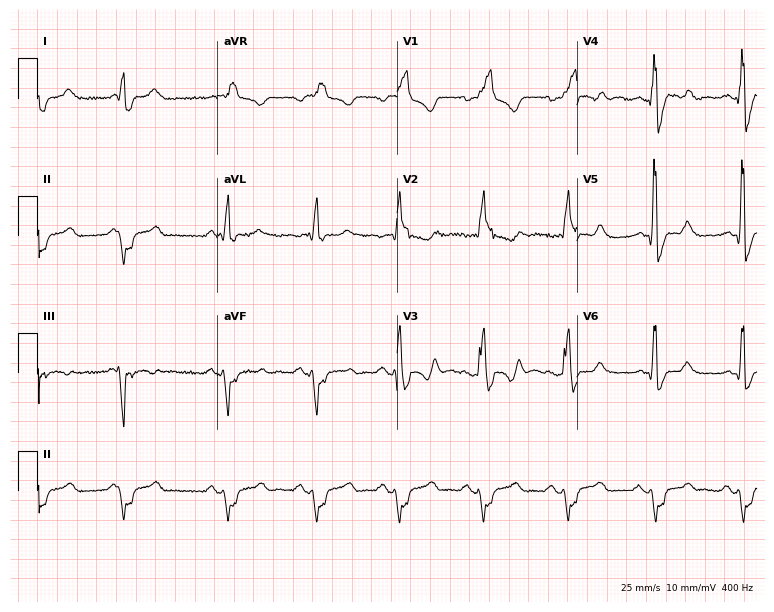
Electrocardiogram, a male, 51 years old. Interpretation includes right bundle branch block.